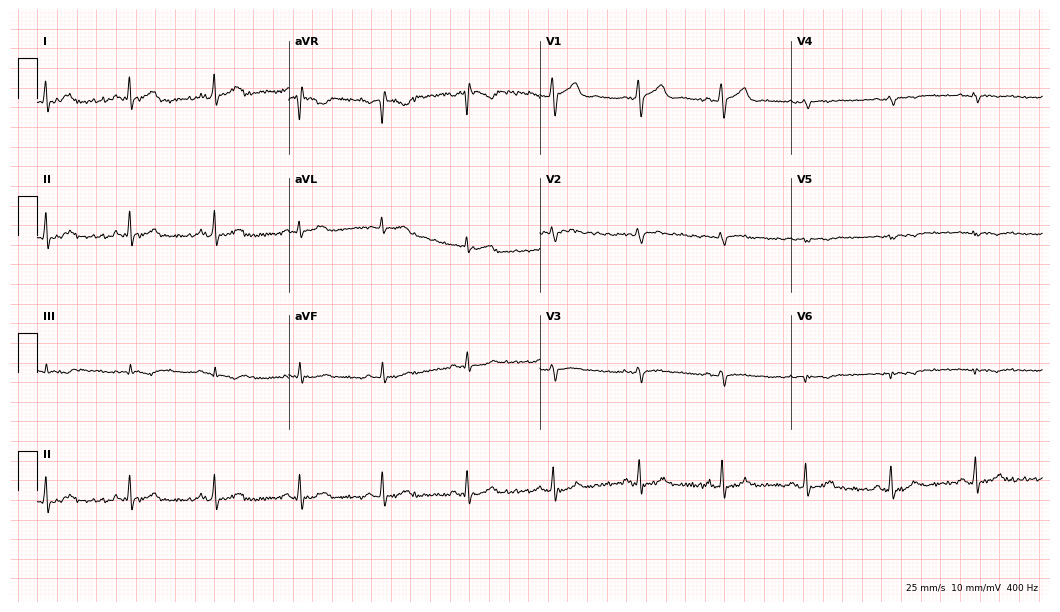
Standard 12-lead ECG recorded from a female, 34 years old. None of these six findings is recorded: first-degree AV block, right bundle branch block, left bundle branch block, sinus bradycardia, atrial fibrillation, sinus tachycardia. Findings outside these six are not listed.